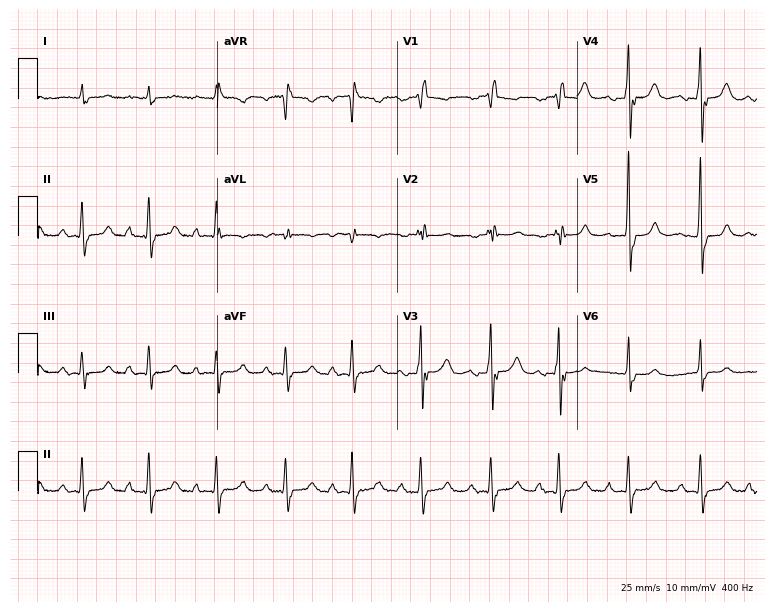
Standard 12-lead ECG recorded from an 81-year-old man (7.3-second recording at 400 Hz). None of these six findings is recorded: first-degree AV block, right bundle branch block, left bundle branch block, sinus bradycardia, atrial fibrillation, sinus tachycardia. Only these six findings were labelled.